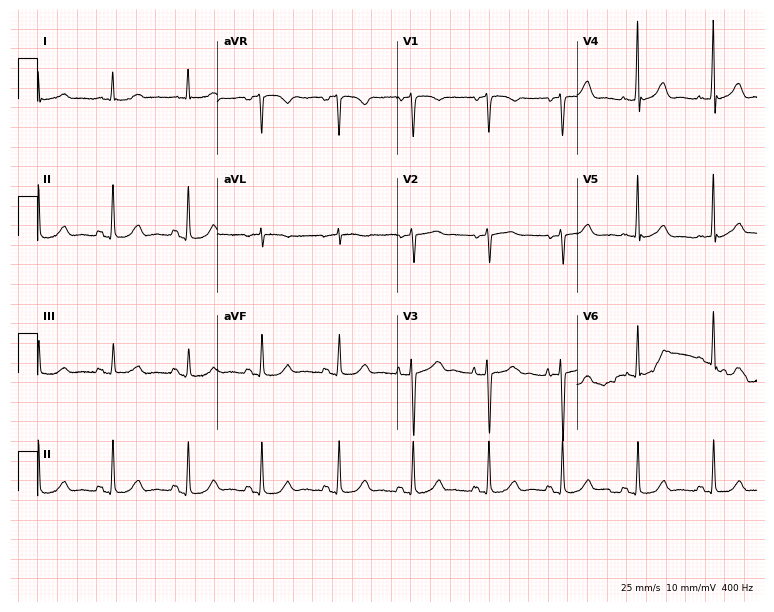
Resting 12-lead electrocardiogram (7.3-second recording at 400 Hz). Patient: a female, 81 years old. Read as a normal ECG.